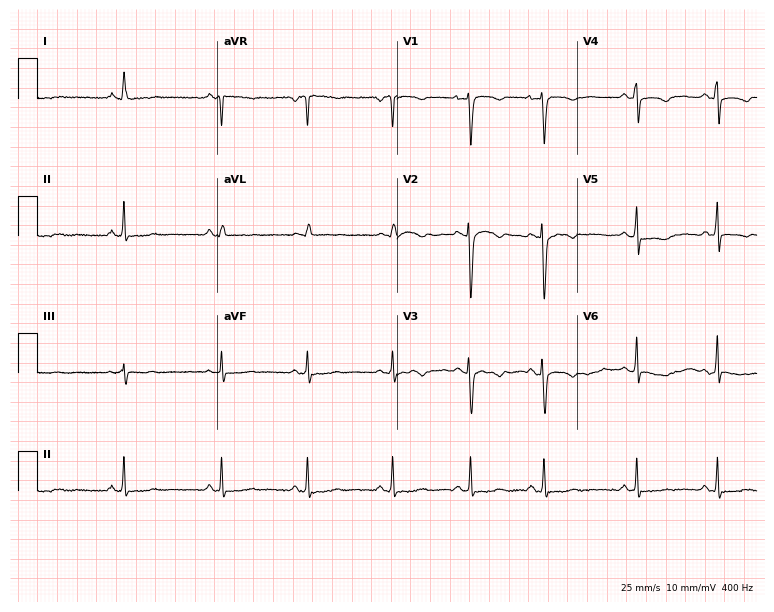
12-lead ECG from a 27-year-old woman (7.3-second recording at 400 Hz). No first-degree AV block, right bundle branch block (RBBB), left bundle branch block (LBBB), sinus bradycardia, atrial fibrillation (AF) or sinus tachycardia recorded for this tracing.